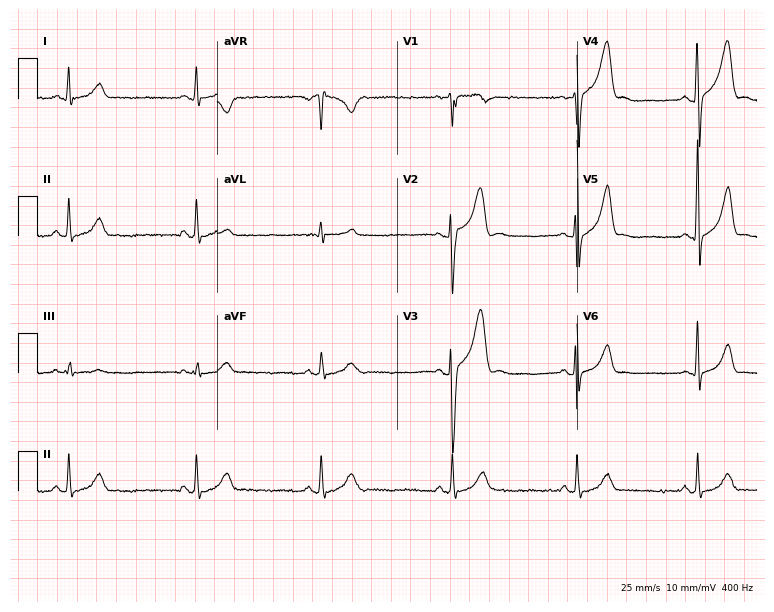
ECG — a male patient, 23 years old. Findings include sinus bradycardia (a sinus rate of 50 beats per minute or less).